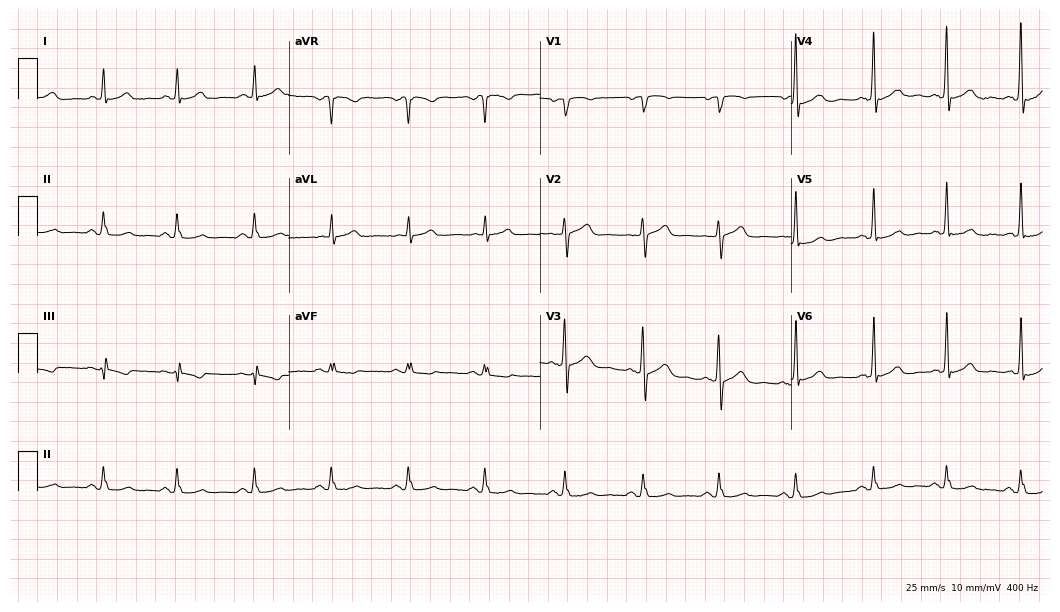
Standard 12-lead ECG recorded from a 58-year-old male patient. Read as a normal ECG.